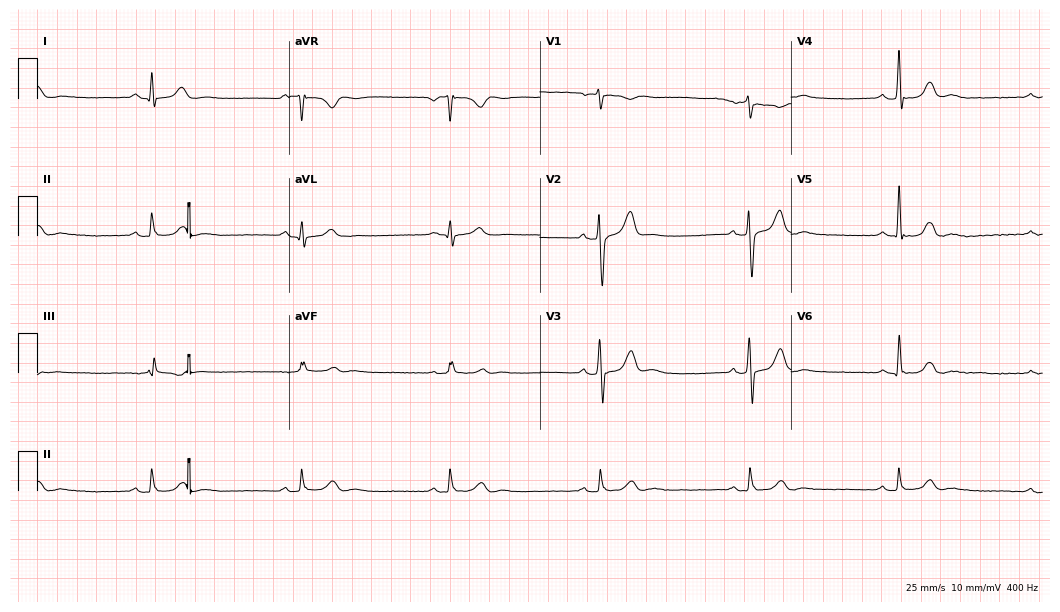
Resting 12-lead electrocardiogram. Patient: a 40-year-old male. The tracing shows sinus bradycardia (a sinus rate of 50 beats per minute or less).